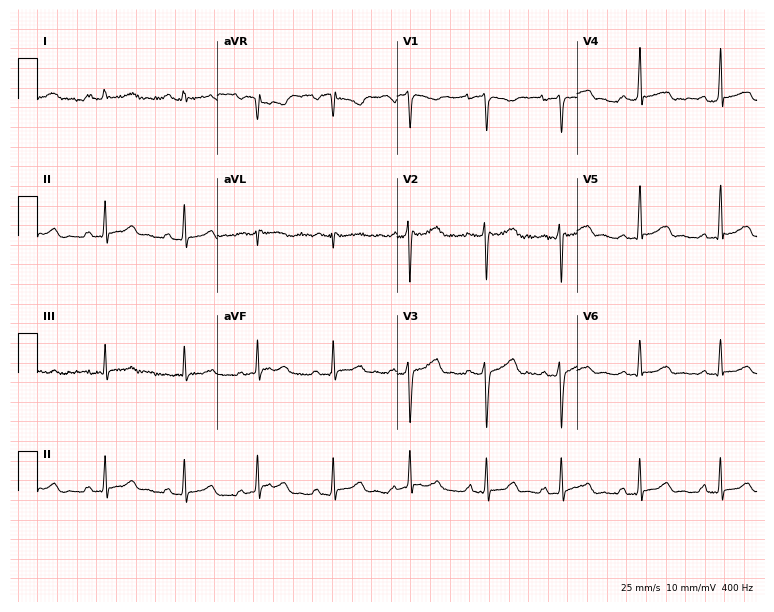
12-lead ECG (7.3-second recording at 400 Hz) from a 27-year-old woman. Labelled as a normal ECG.